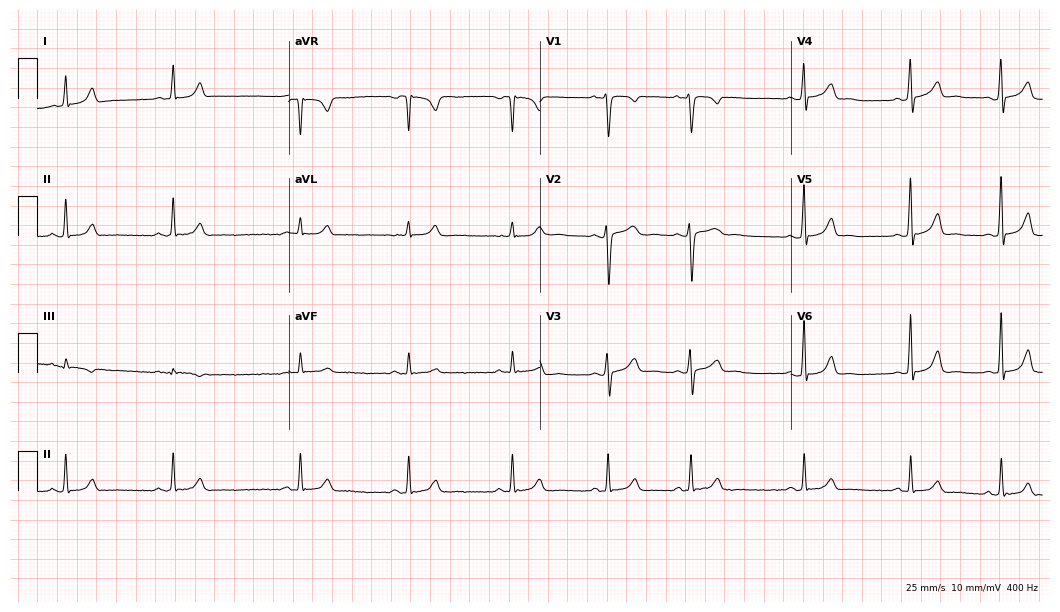
12-lead ECG from a woman, 25 years old (10.2-second recording at 400 Hz). Recorded interpretation: within normal limits.